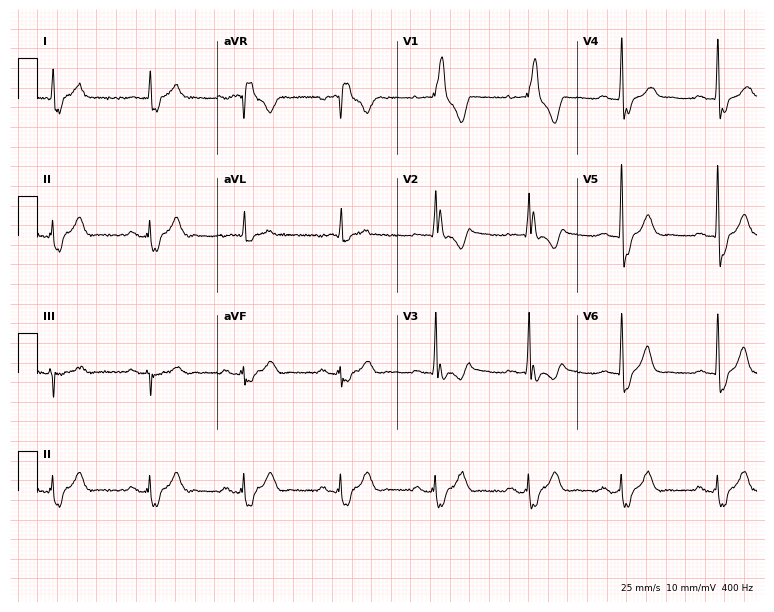
ECG — a 64-year-old male. Findings include right bundle branch block.